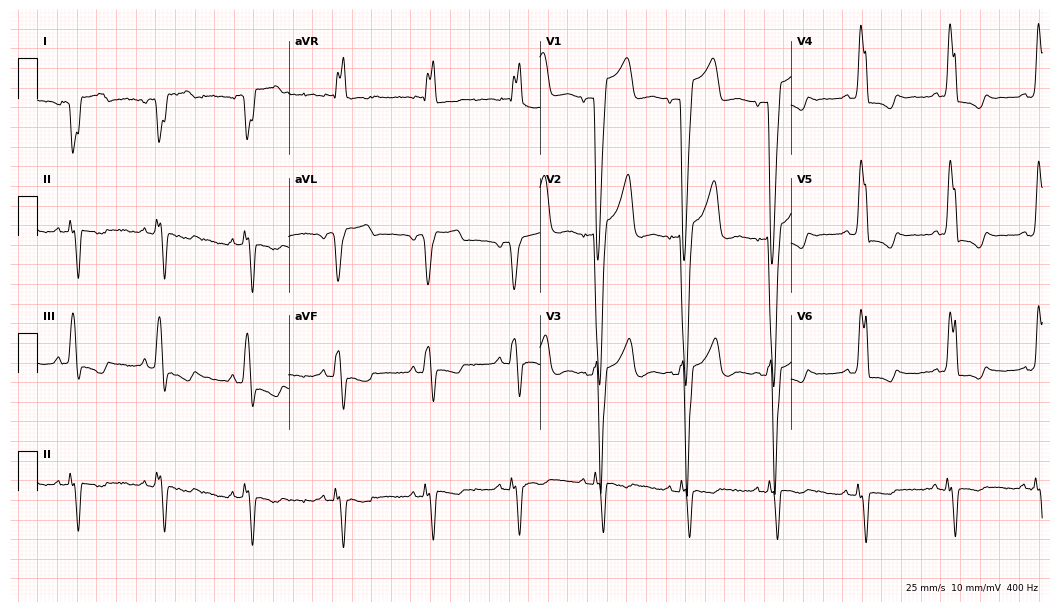
Electrocardiogram (10.2-second recording at 400 Hz), an 84-year-old female. Of the six screened findings (first-degree AV block, right bundle branch block (RBBB), left bundle branch block (LBBB), sinus bradycardia, atrial fibrillation (AF), sinus tachycardia), none is recorded. Only these six findings were labelled.